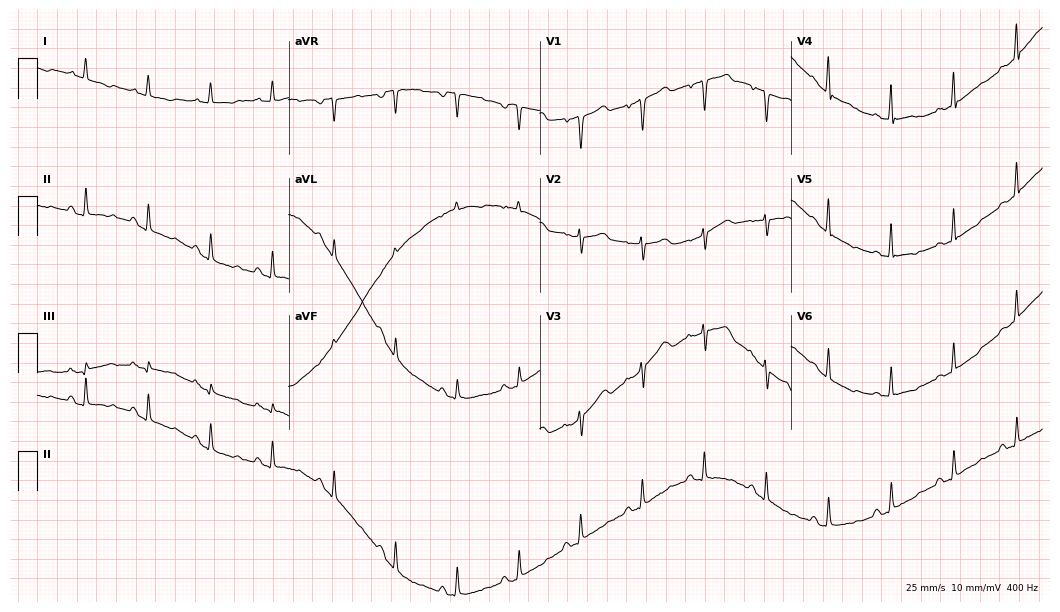
Resting 12-lead electrocardiogram. Patient: a female, 68 years old. None of these six findings is recorded: first-degree AV block, right bundle branch block, left bundle branch block, sinus bradycardia, atrial fibrillation, sinus tachycardia. Other findings, if any, are not listed.